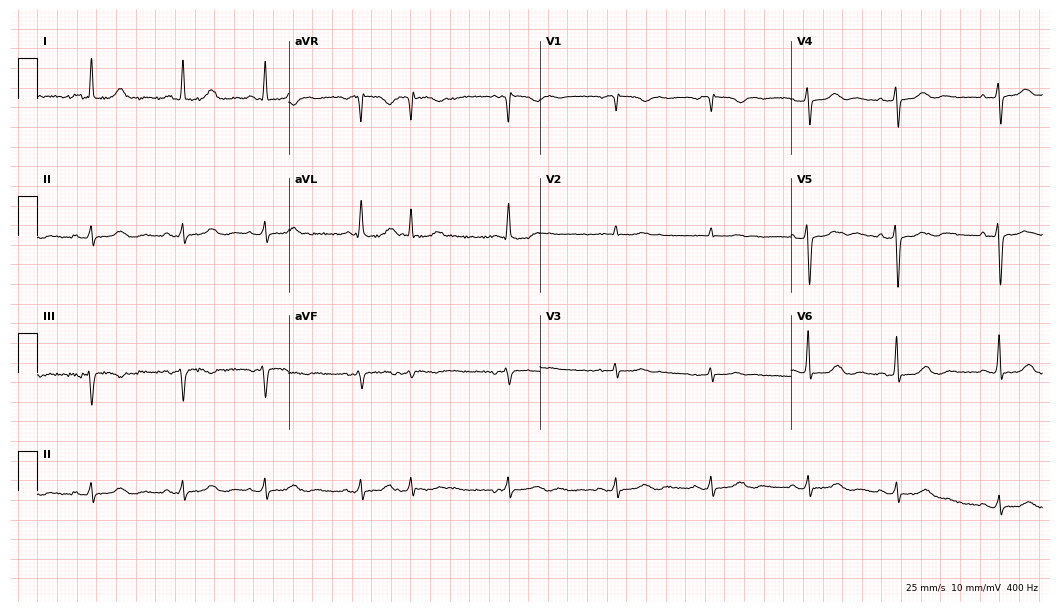
Electrocardiogram, a 67-year-old female patient. Of the six screened findings (first-degree AV block, right bundle branch block, left bundle branch block, sinus bradycardia, atrial fibrillation, sinus tachycardia), none is recorded. Findings outside these six are not listed.